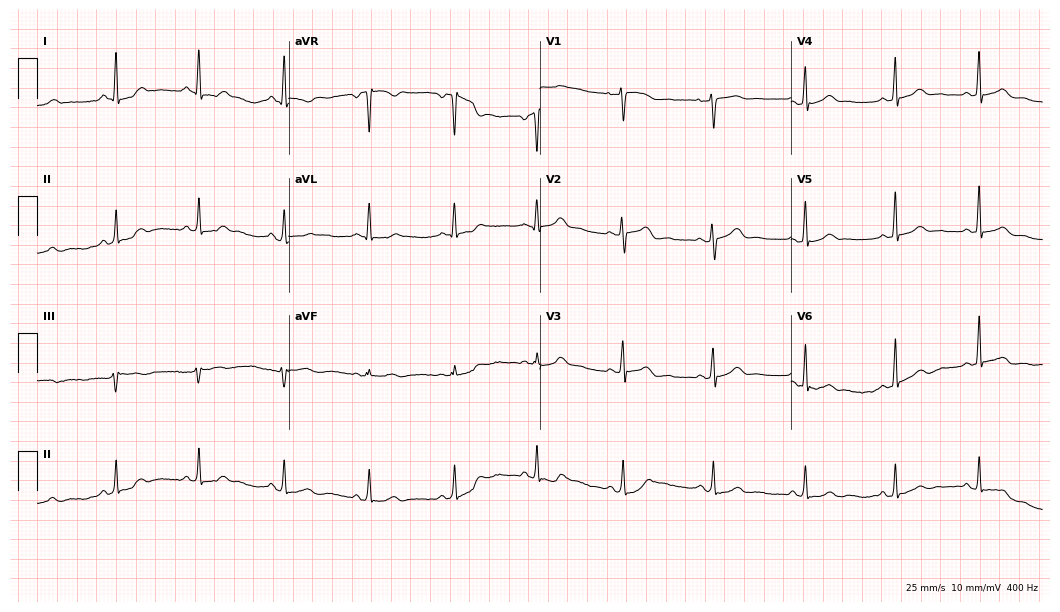
Resting 12-lead electrocardiogram (10.2-second recording at 400 Hz). Patient: a woman, 29 years old. Read as a normal ECG.